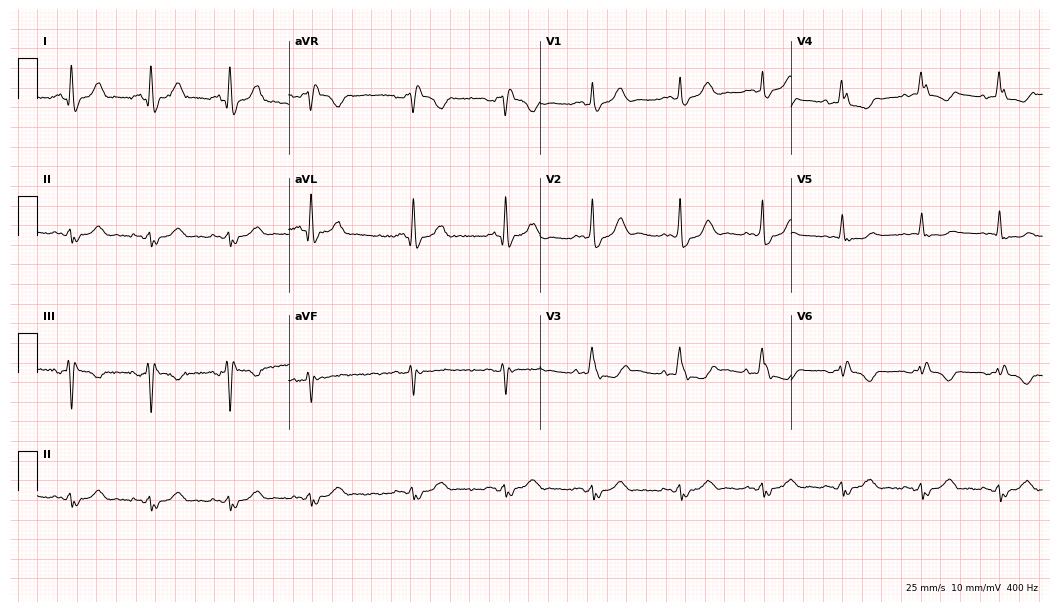
ECG — a 71-year-old woman. Screened for six findings — first-degree AV block, right bundle branch block, left bundle branch block, sinus bradycardia, atrial fibrillation, sinus tachycardia — none is recorded.